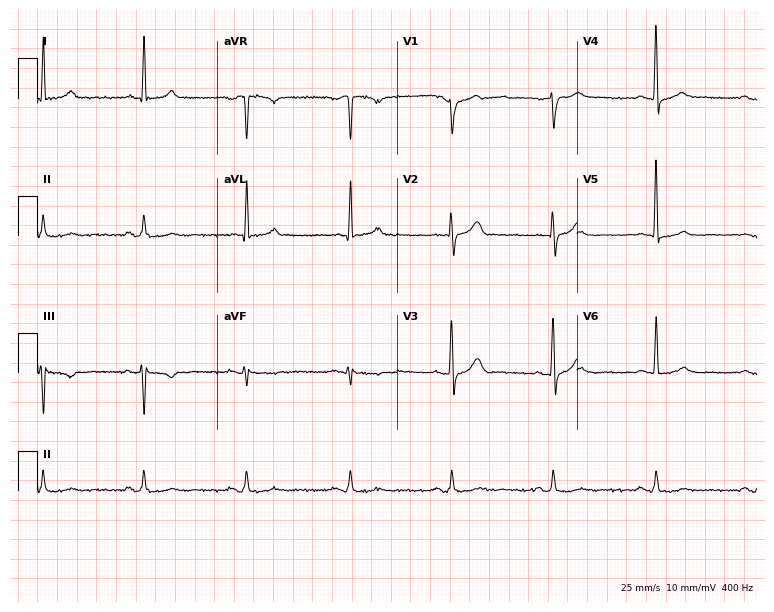
Standard 12-lead ECG recorded from a 58-year-old man (7.3-second recording at 400 Hz). None of these six findings is recorded: first-degree AV block, right bundle branch block (RBBB), left bundle branch block (LBBB), sinus bradycardia, atrial fibrillation (AF), sinus tachycardia.